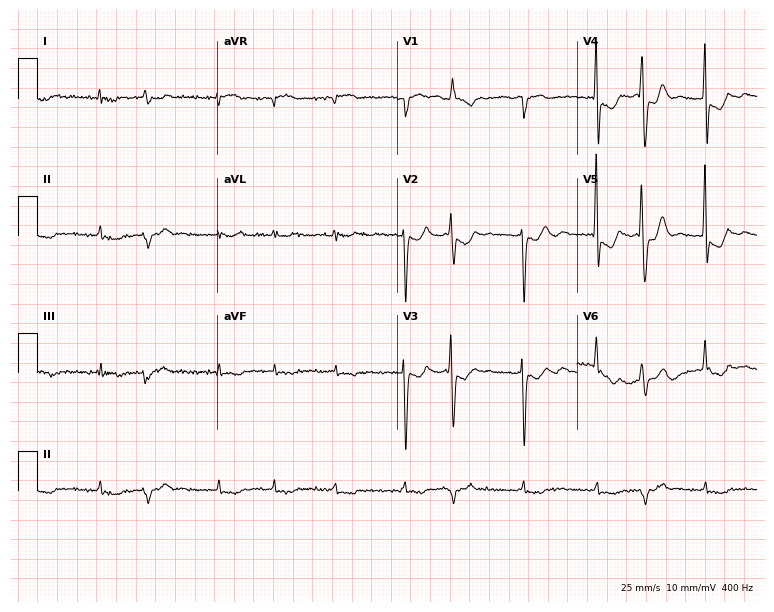
12-lead ECG from a 78-year-old female patient (7.3-second recording at 400 Hz). No first-degree AV block, right bundle branch block, left bundle branch block, sinus bradycardia, atrial fibrillation or sinus tachycardia recorded for this tracing.